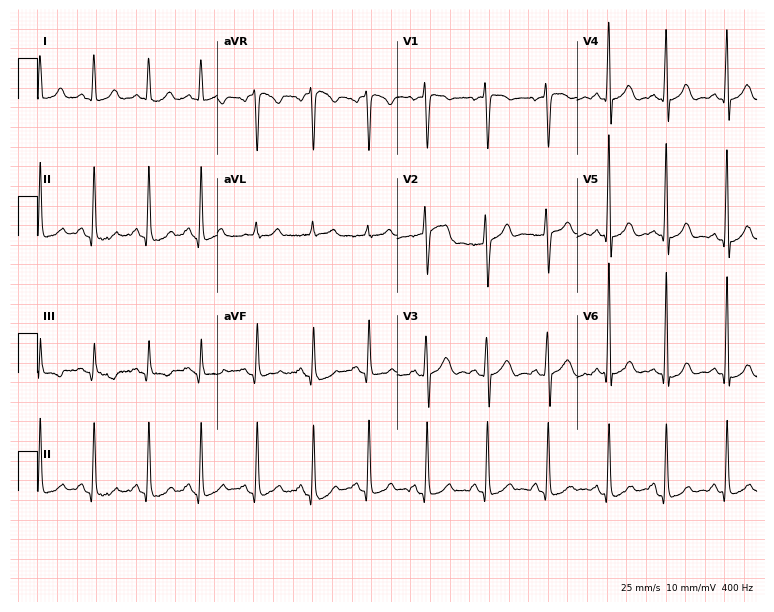
ECG — a woman, 48 years old. Findings include sinus tachycardia (a sinus rate of 100 beats per minute or more).